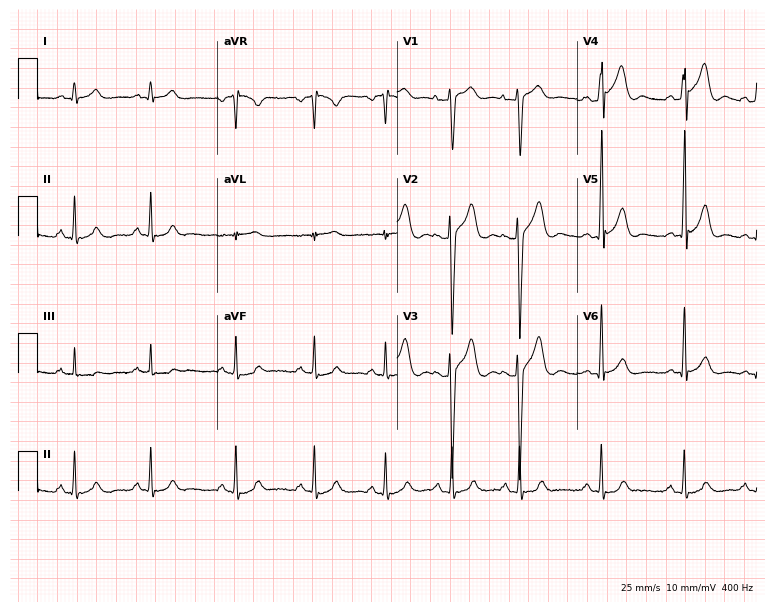
12-lead ECG from a 24-year-old male patient. Labelled as a normal ECG.